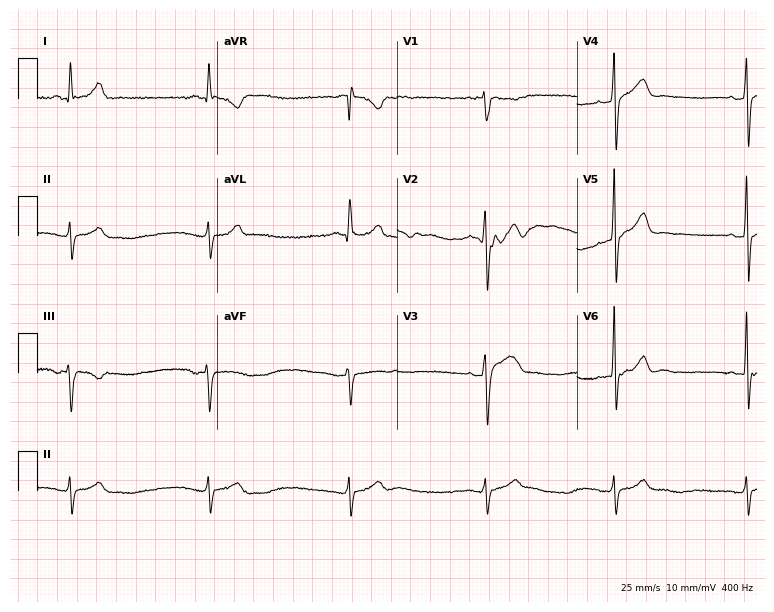
12-lead ECG (7.3-second recording at 400 Hz) from a male, 47 years old. Findings include sinus bradycardia (a sinus rate of 50 beats per minute or less).